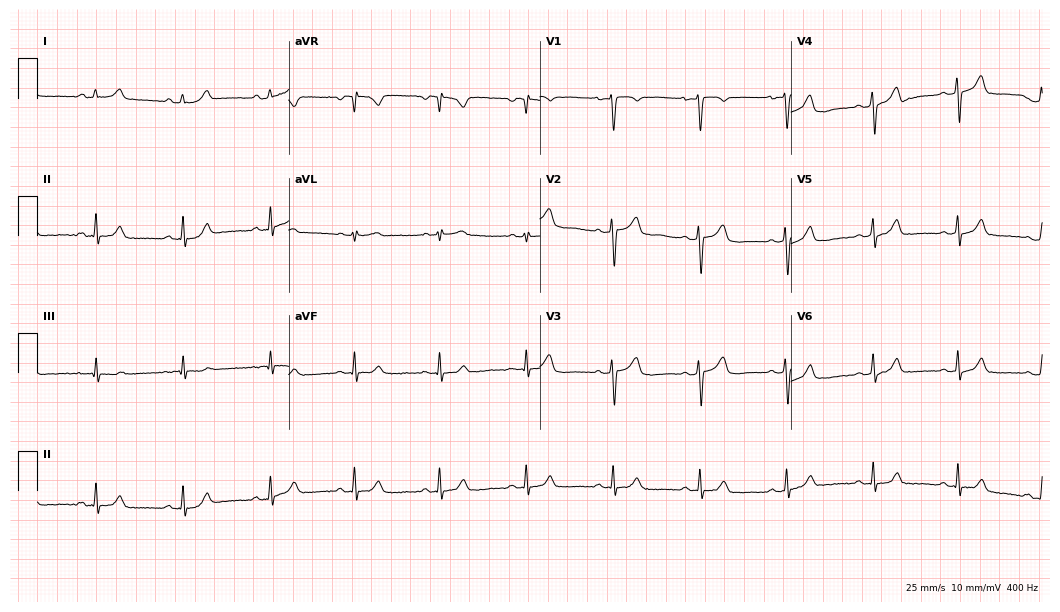
Standard 12-lead ECG recorded from a woman, 36 years old (10.2-second recording at 400 Hz). Read as a normal ECG.